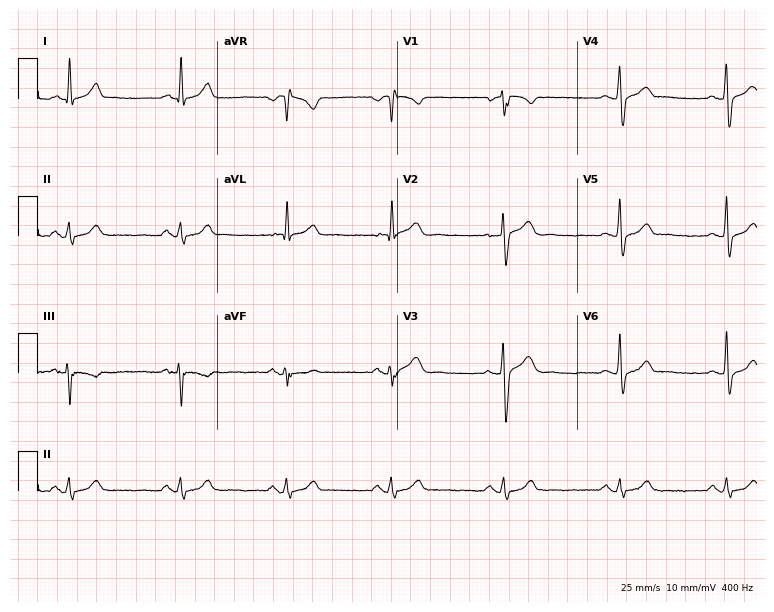
Standard 12-lead ECG recorded from a 35-year-old male. None of these six findings is recorded: first-degree AV block, right bundle branch block (RBBB), left bundle branch block (LBBB), sinus bradycardia, atrial fibrillation (AF), sinus tachycardia. Findings outside these six are not listed.